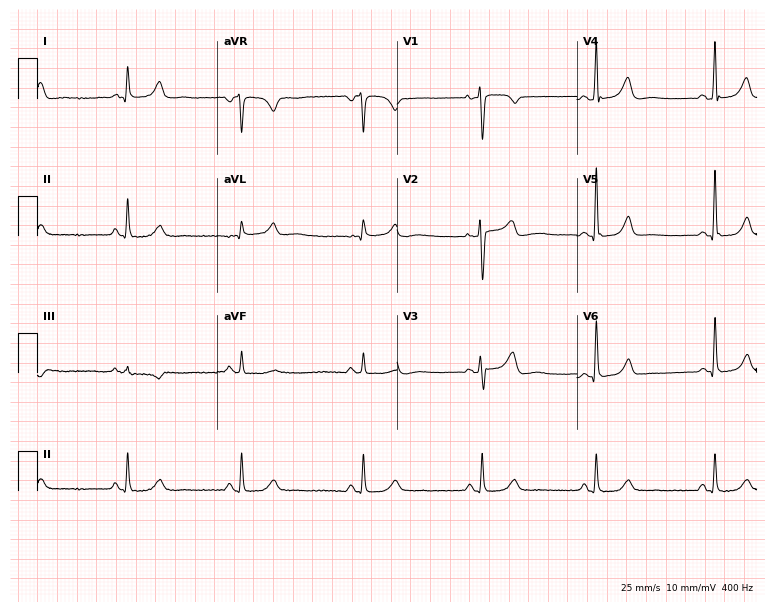
Standard 12-lead ECG recorded from a 50-year-old female (7.3-second recording at 400 Hz). The tracing shows sinus bradycardia (a sinus rate of 50 beats per minute or less).